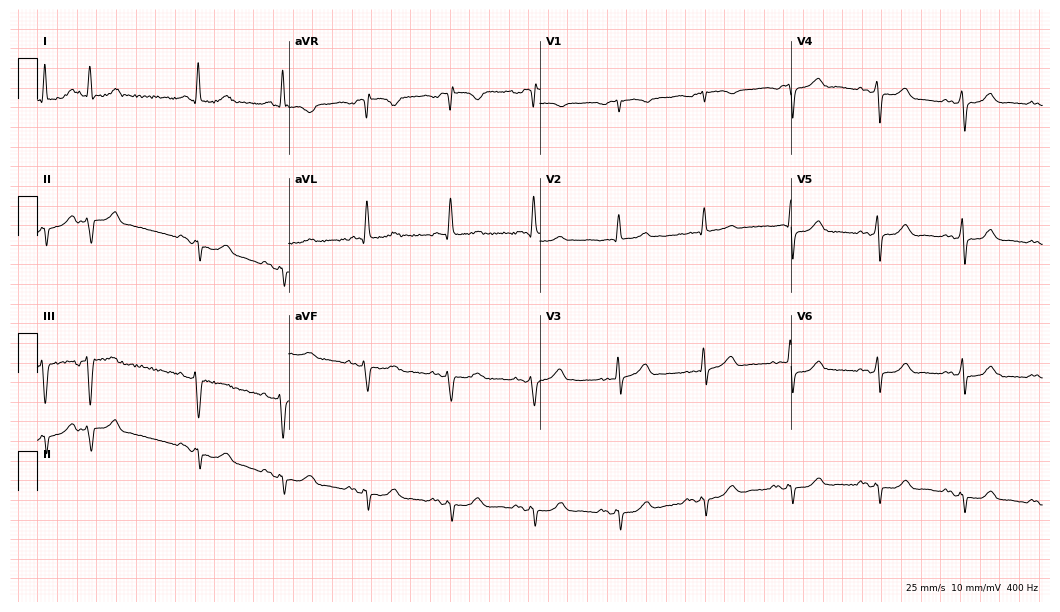
12-lead ECG from a female patient, 75 years old (10.2-second recording at 400 Hz). No first-degree AV block, right bundle branch block, left bundle branch block, sinus bradycardia, atrial fibrillation or sinus tachycardia recorded for this tracing.